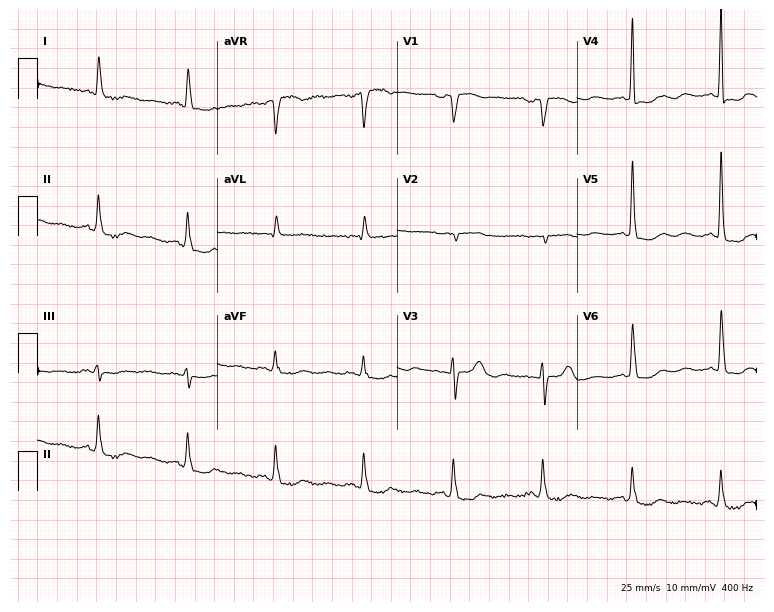
12-lead ECG from an 82-year-old female patient. No first-degree AV block, right bundle branch block, left bundle branch block, sinus bradycardia, atrial fibrillation or sinus tachycardia recorded for this tracing.